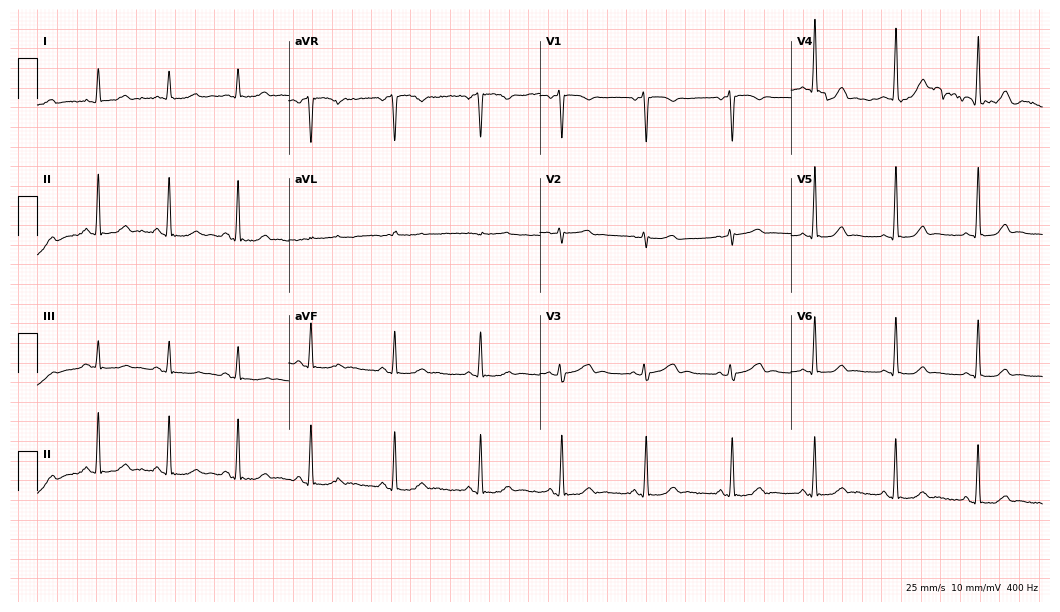
12-lead ECG (10.2-second recording at 400 Hz) from a 21-year-old female. Screened for six findings — first-degree AV block, right bundle branch block (RBBB), left bundle branch block (LBBB), sinus bradycardia, atrial fibrillation (AF), sinus tachycardia — none is recorded. Findings outside these six are not listed.